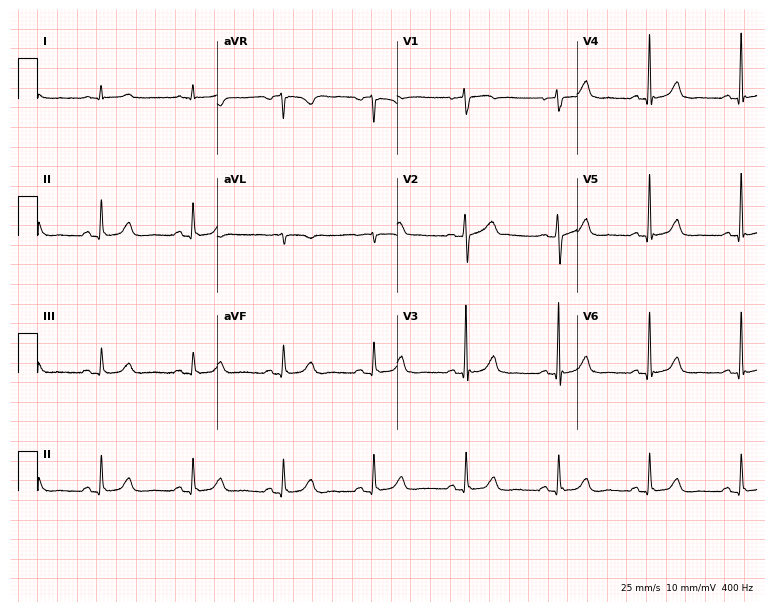
12-lead ECG from a 66-year-old male. Labelled as a normal ECG.